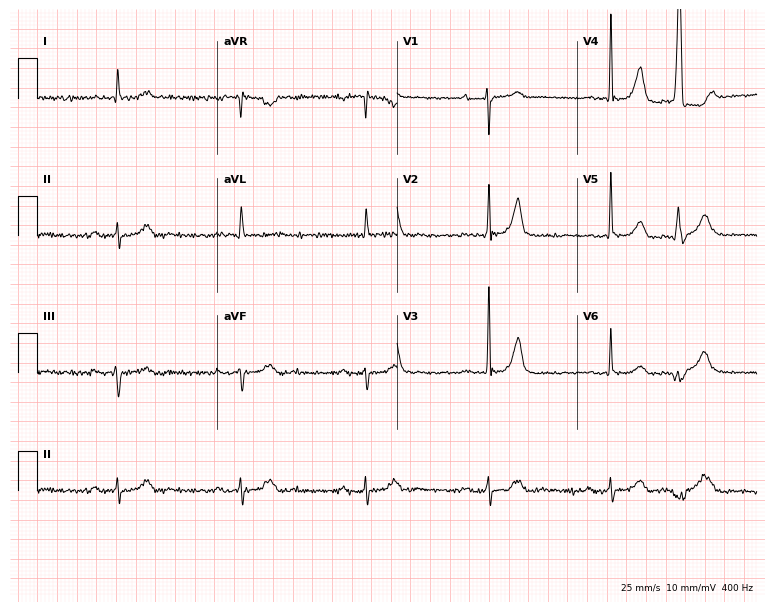
12-lead ECG (7.3-second recording at 400 Hz) from a man, 79 years old. Findings include first-degree AV block, sinus bradycardia (a sinus rate of 50 beats per minute or less).